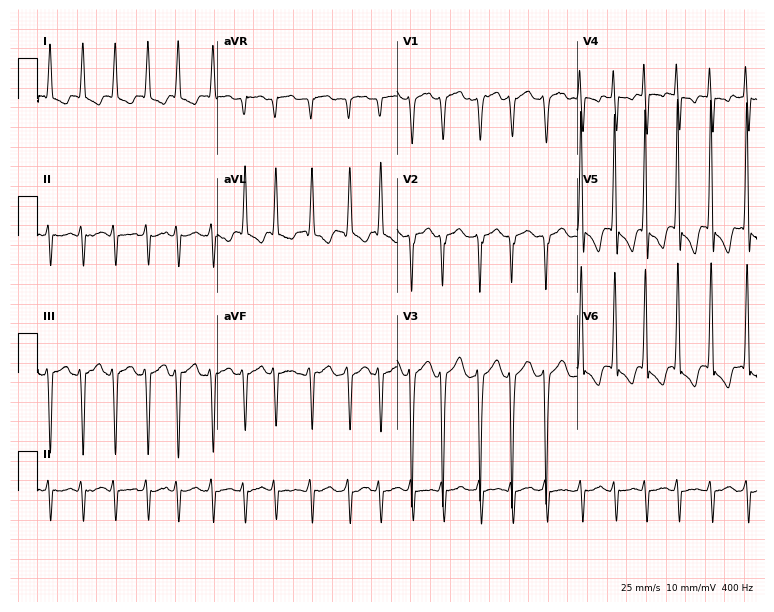
Electrocardiogram (7.3-second recording at 400 Hz), a man, 73 years old. Interpretation includes atrial fibrillation (AF).